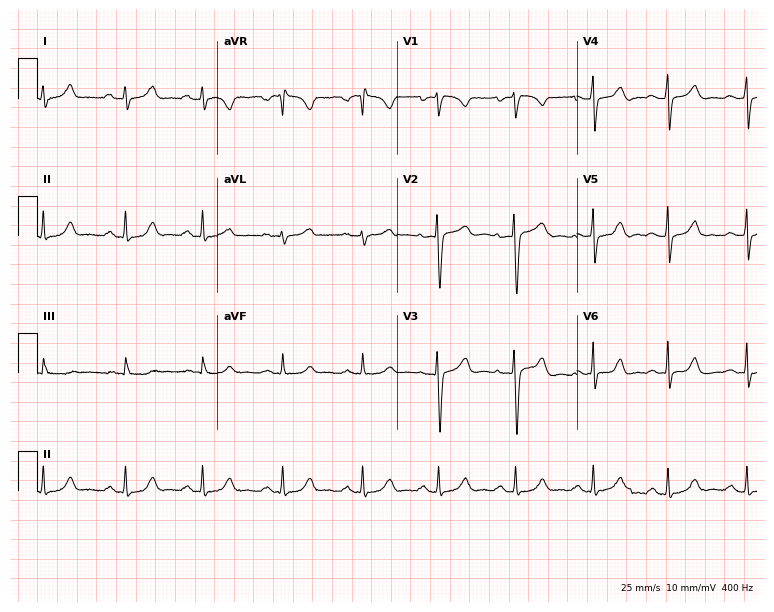
Standard 12-lead ECG recorded from a female, 27 years old (7.3-second recording at 400 Hz). Read as a normal ECG.